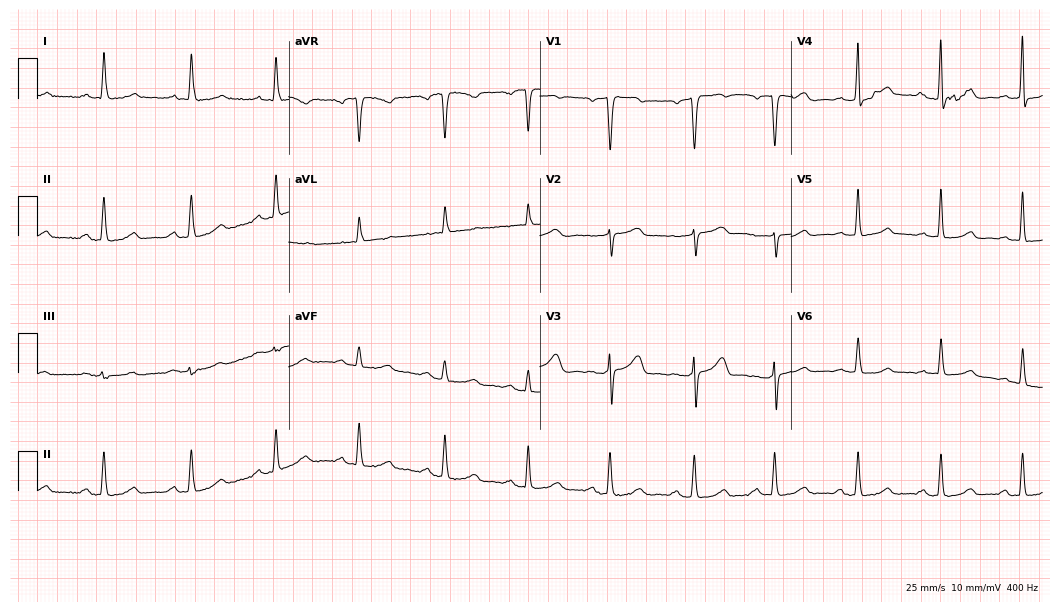
12-lead ECG from a woman, 56 years old (10.2-second recording at 400 Hz). Recorded interpretation: within normal limits.